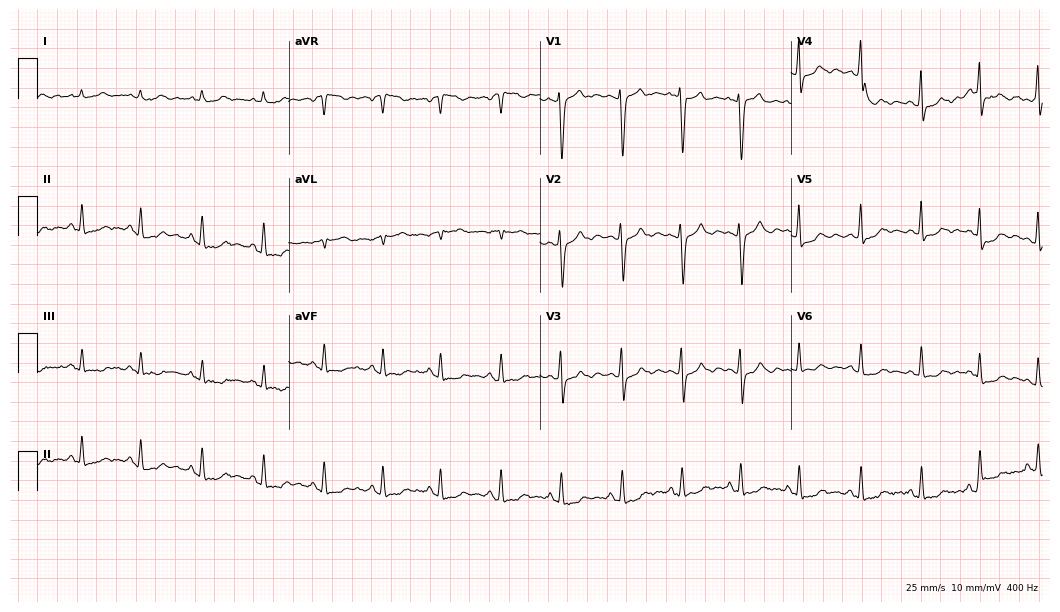
Resting 12-lead electrocardiogram. Patient: a female, 47 years old. None of these six findings is recorded: first-degree AV block, right bundle branch block, left bundle branch block, sinus bradycardia, atrial fibrillation, sinus tachycardia.